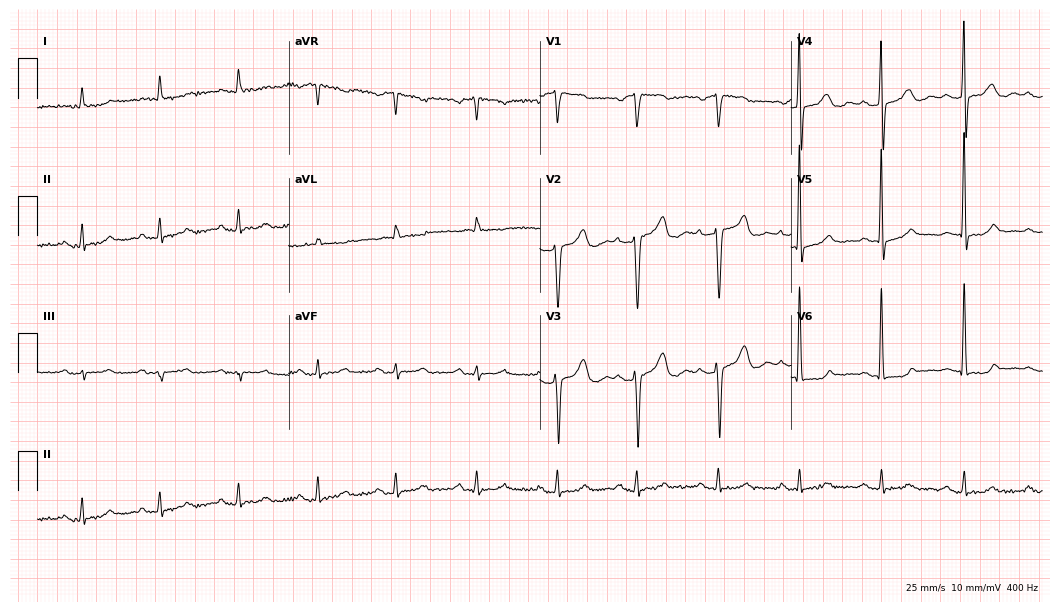
Standard 12-lead ECG recorded from a male, 86 years old (10.2-second recording at 400 Hz). Read as a normal ECG.